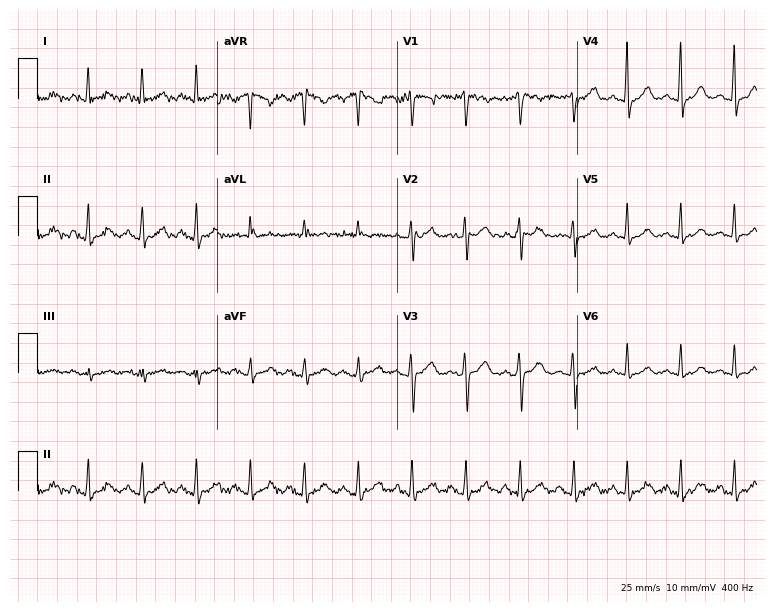
12-lead ECG from a 48-year-old female patient (7.3-second recording at 400 Hz). Shows sinus tachycardia (a sinus rate of 100 beats per minute or more).